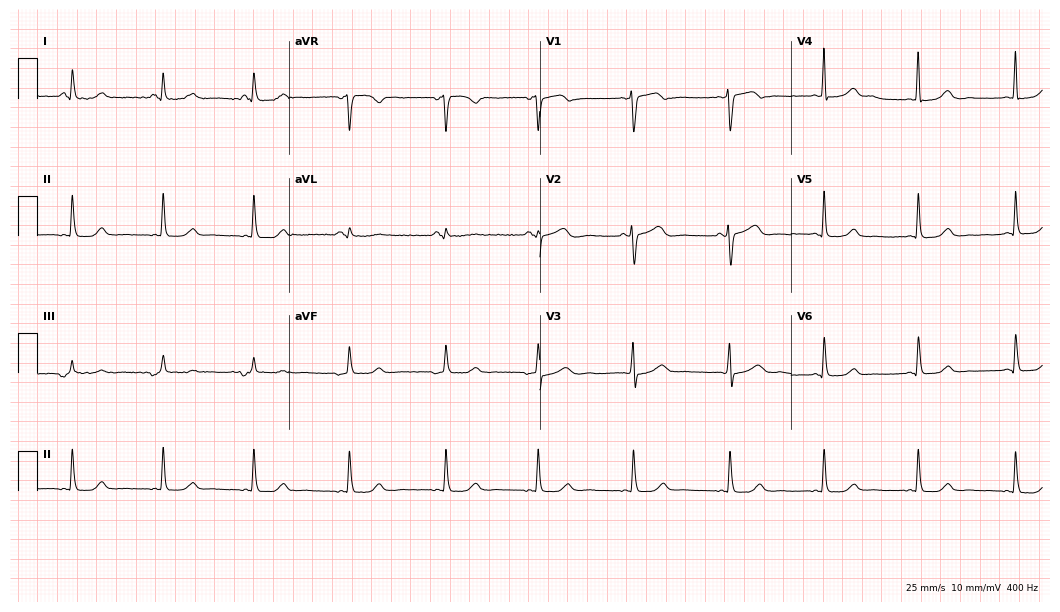
12-lead ECG from a 51-year-old female. Screened for six findings — first-degree AV block, right bundle branch block, left bundle branch block, sinus bradycardia, atrial fibrillation, sinus tachycardia — none is recorded.